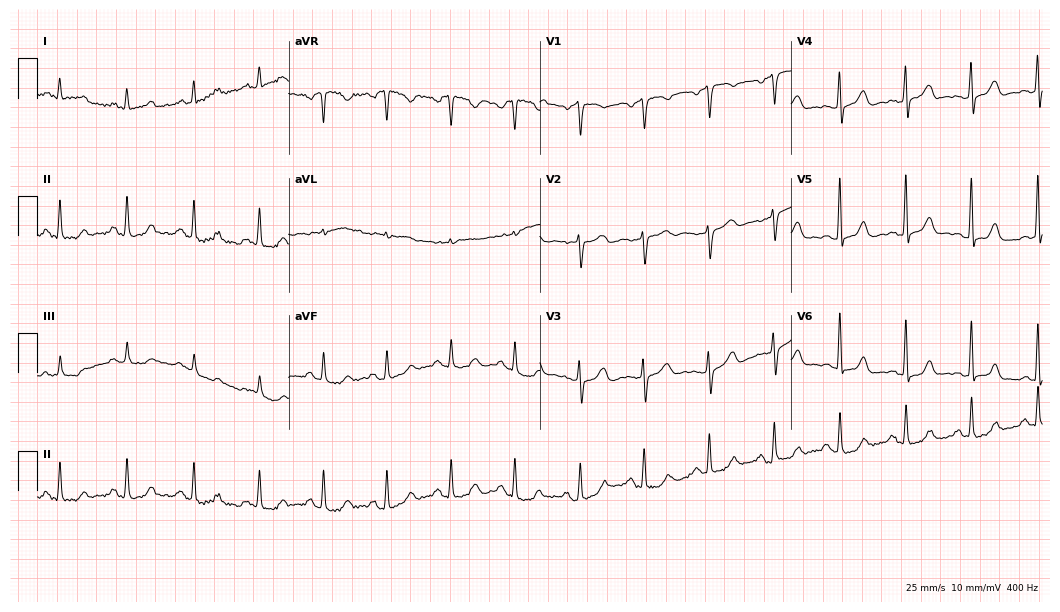
Standard 12-lead ECG recorded from a woman, 59 years old (10.2-second recording at 400 Hz). None of these six findings is recorded: first-degree AV block, right bundle branch block, left bundle branch block, sinus bradycardia, atrial fibrillation, sinus tachycardia. Findings outside these six are not listed.